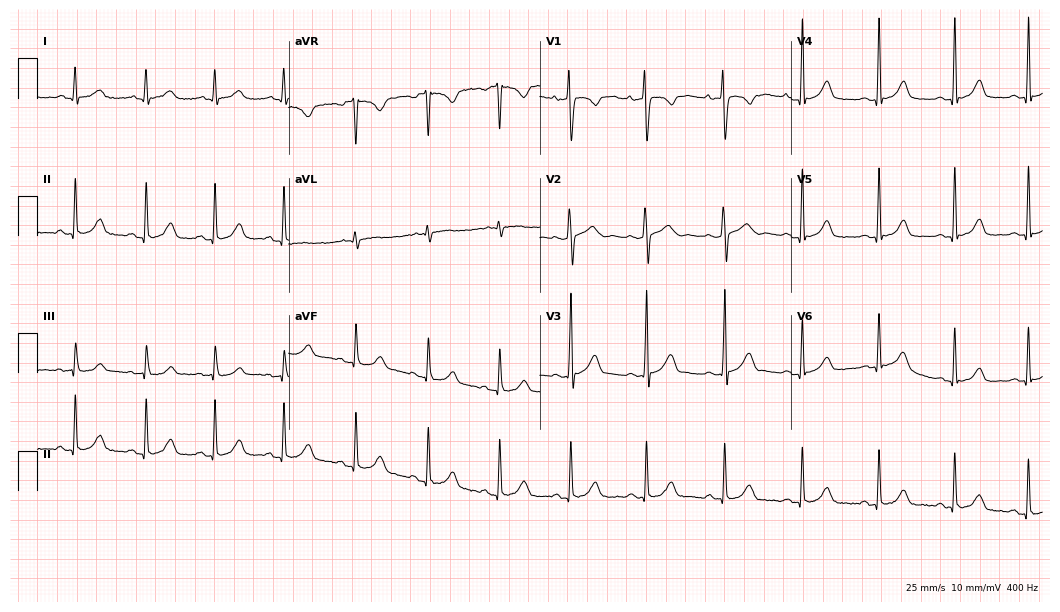
Electrocardiogram (10.2-second recording at 400 Hz), a 24-year-old female. Of the six screened findings (first-degree AV block, right bundle branch block (RBBB), left bundle branch block (LBBB), sinus bradycardia, atrial fibrillation (AF), sinus tachycardia), none is recorded. Other findings, if any, are not listed.